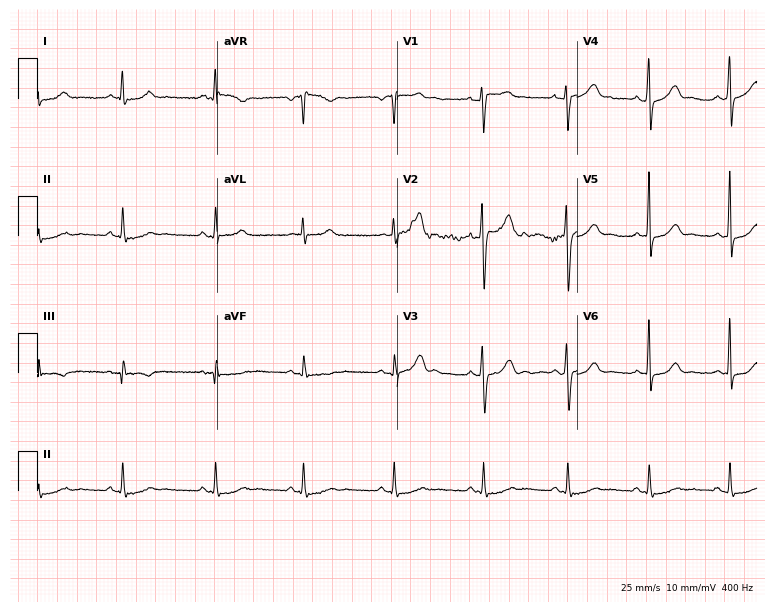
12-lead ECG from a 41-year-old male patient. Recorded interpretation: within normal limits.